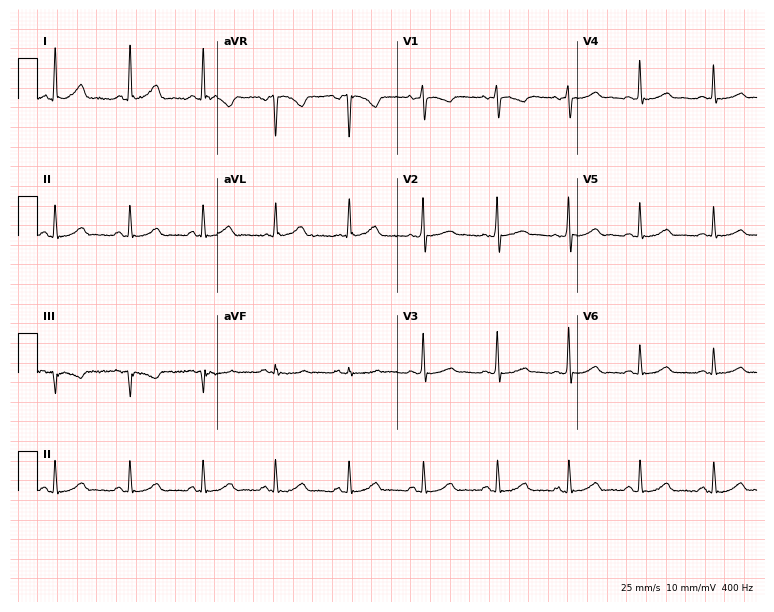
12-lead ECG from a 38-year-old female. Recorded interpretation: within normal limits.